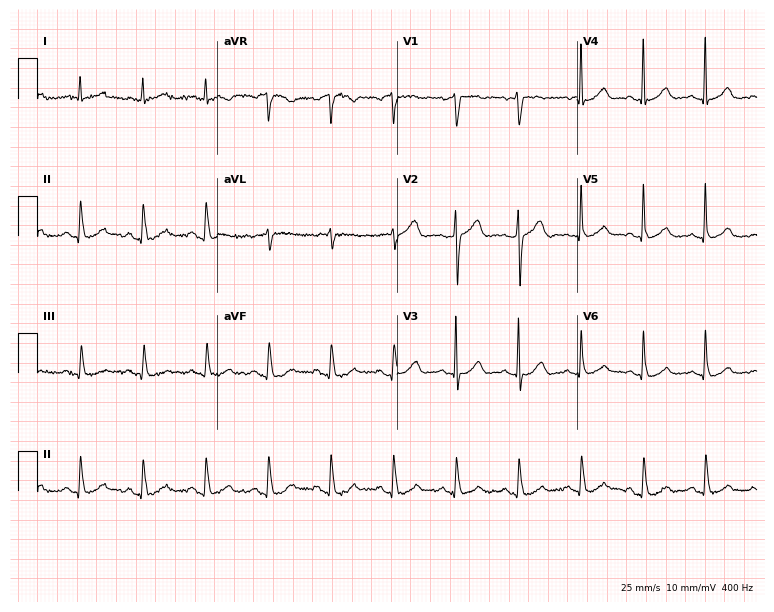
12-lead ECG (7.3-second recording at 400 Hz) from a 72-year-old man. Labelled as a normal ECG.